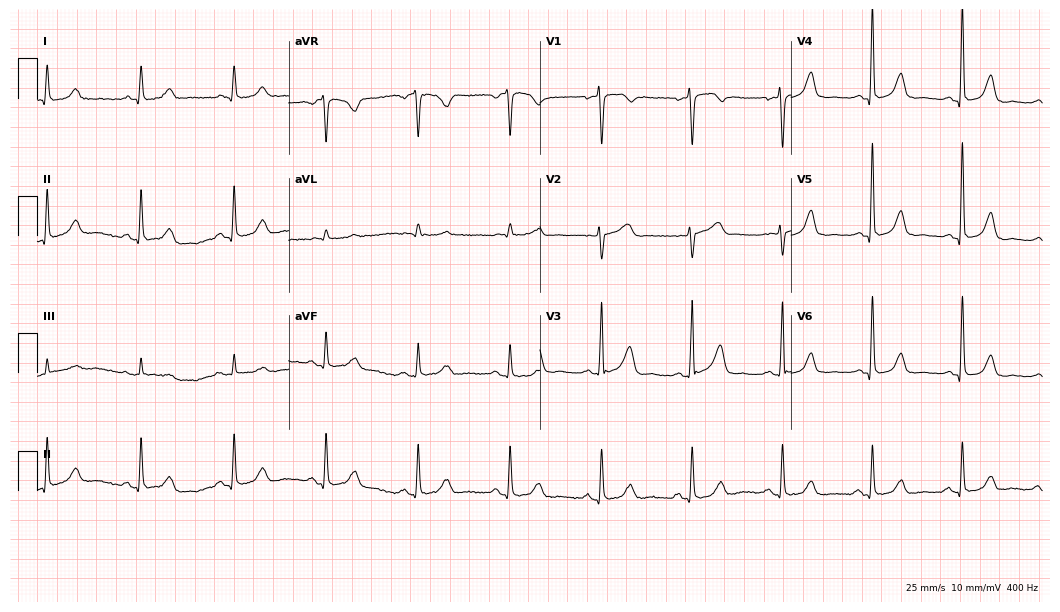
Electrocardiogram (10.2-second recording at 400 Hz), a 63-year-old female patient. Of the six screened findings (first-degree AV block, right bundle branch block (RBBB), left bundle branch block (LBBB), sinus bradycardia, atrial fibrillation (AF), sinus tachycardia), none is recorded.